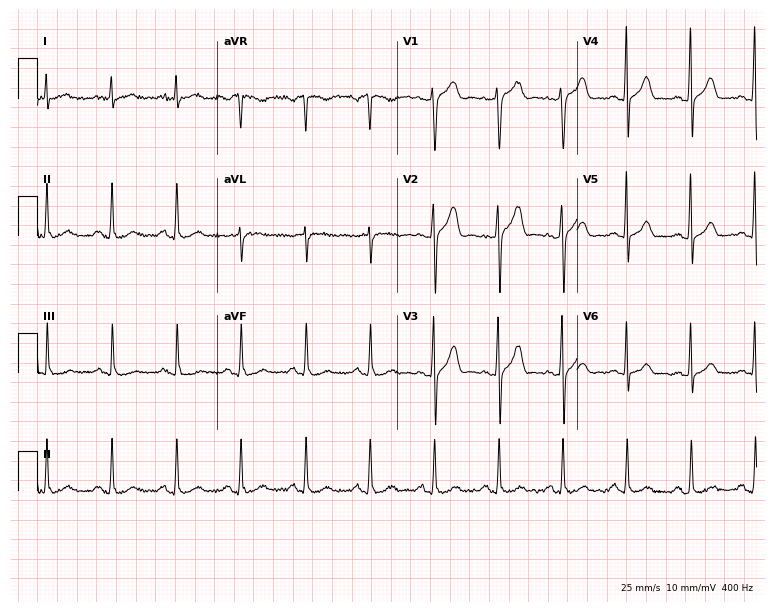
Standard 12-lead ECG recorded from a male, 56 years old. None of these six findings is recorded: first-degree AV block, right bundle branch block (RBBB), left bundle branch block (LBBB), sinus bradycardia, atrial fibrillation (AF), sinus tachycardia.